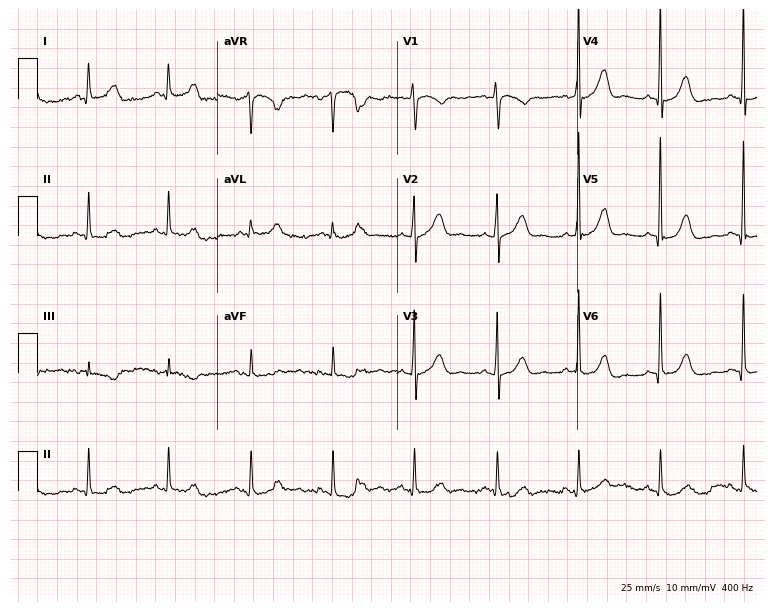
12-lead ECG (7.3-second recording at 400 Hz) from a woman, 67 years old. Labelled as a normal ECG.